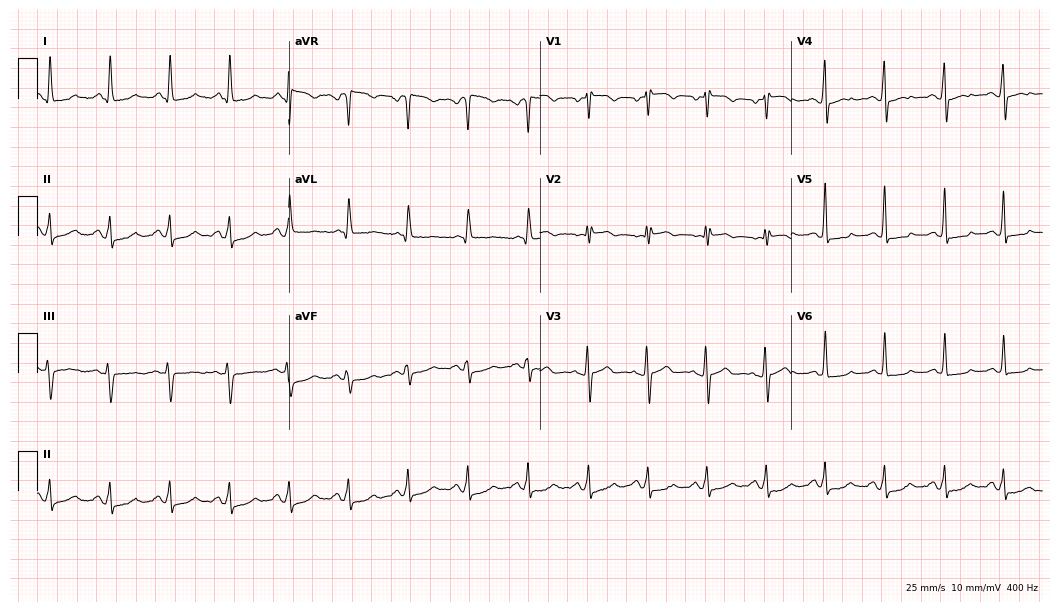
Electrocardiogram (10.2-second recording at 400 Hz), a woman, 76 years old. Of the six screened findings (first-degree AV block, right bundle branch block, left bundle branch block, sinus bradycardia, atrial fibrillation, sinus tachycardia), none is recorded. Findings outside these six are not listed.